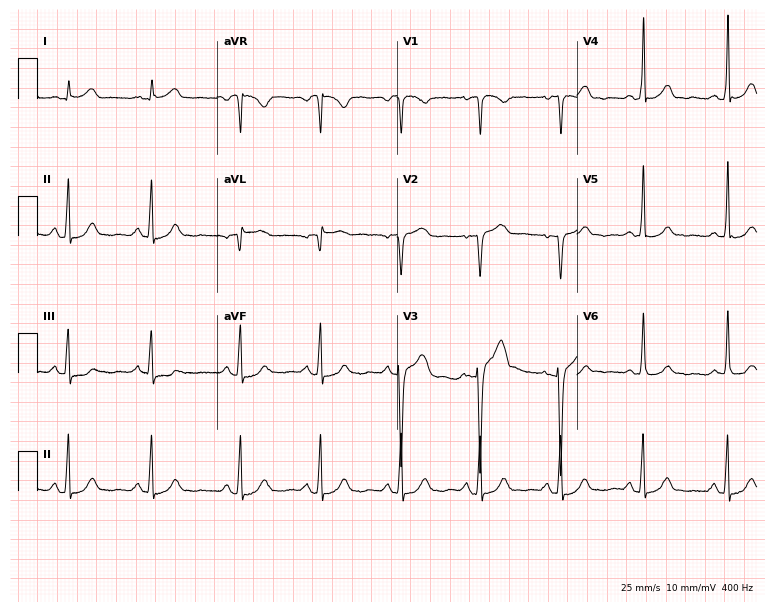
ECG — a 61-year-old female patient. Screened for six findings — first-degree AV block, right bundle branch block, left bundle branch block, sinus bradycardia, atrial fibrillation, sinus tachycardia — none is recorded.